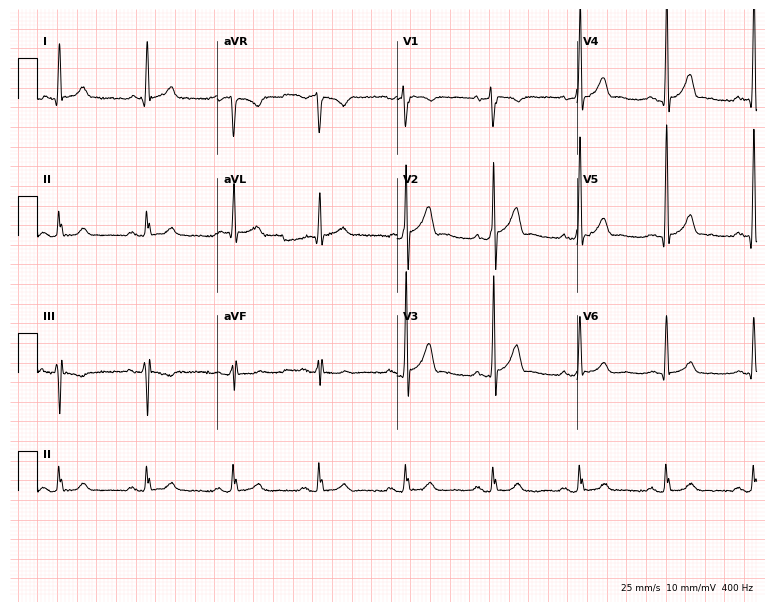
Electrocardiogram, a man, 50 years old. Of the six screened findings (first-degree AV block, right bundle branch block (RBBB), left bundle branch block (LBBB), sinus bradycardia, atrial fibrillation (AF), sinus tachycardia), none is recorded. Findings outside these six are not listed.